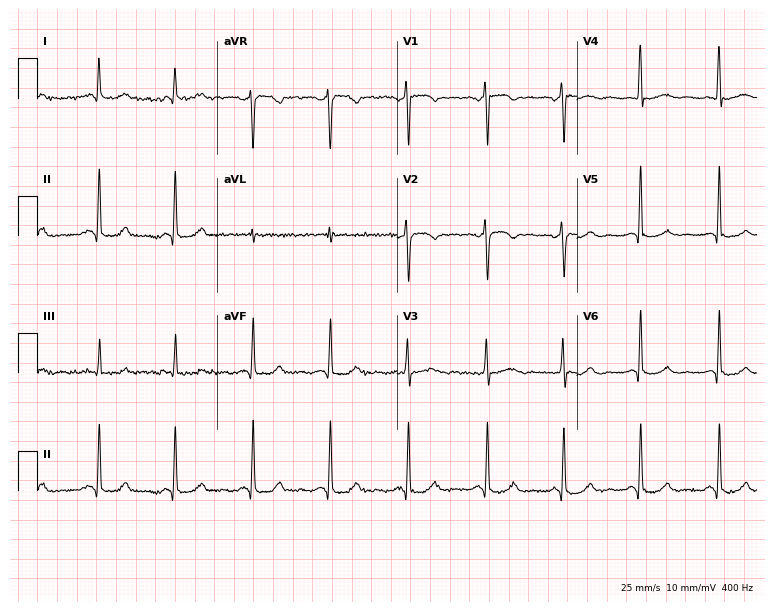
Standard 12-lead ECG recorded from a female patient, 52 years old (7.3-second recording at 400 Hz). Read as a normal ECG.